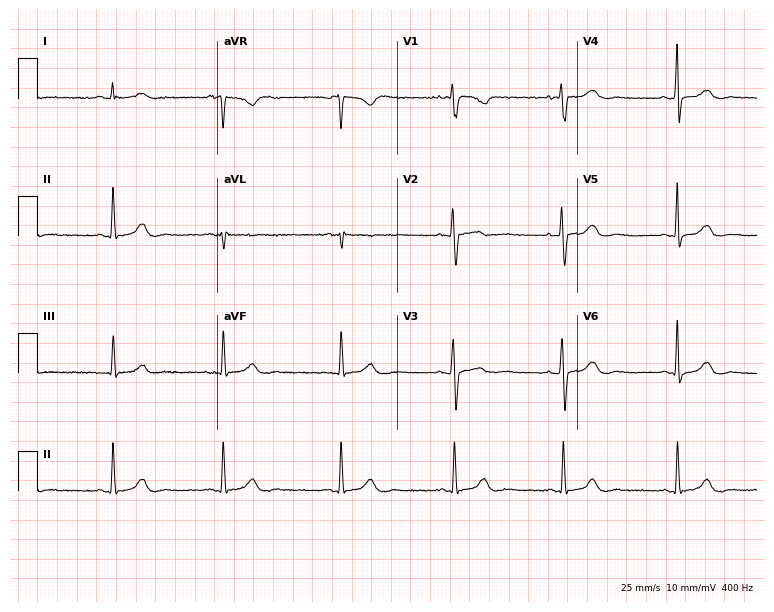
12-lead ECG from a 32-year-old female (7.3-second recording at 400 Hz). No first-degree AV block, right bundle branch block (RBBB), left bundle branch block (LBBB), sinus bradycardia, atrial fibrillation (AF) or sinus tachycardia recorded for this tracing. Findings outside these six are not listed.